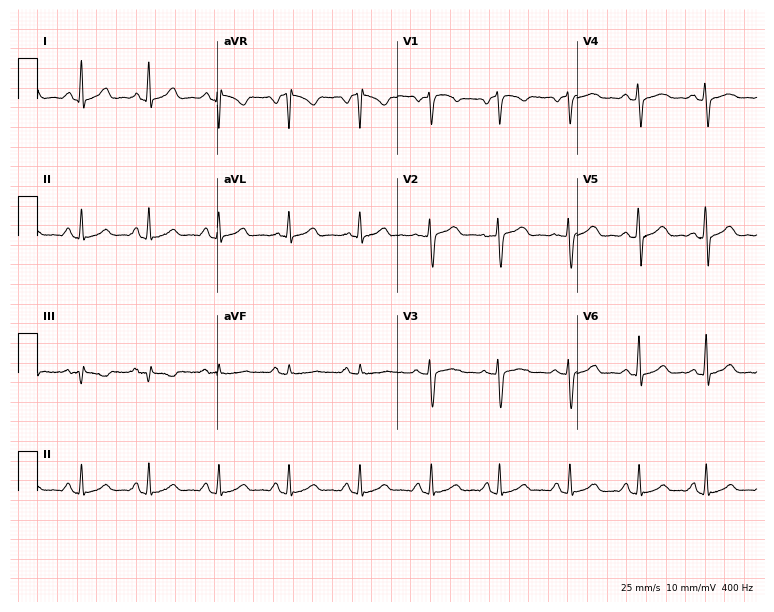
12-lead ECG (7.3-second recording at 400 Hz) from a woman, 27 years old. Labelled as a normal ECG.